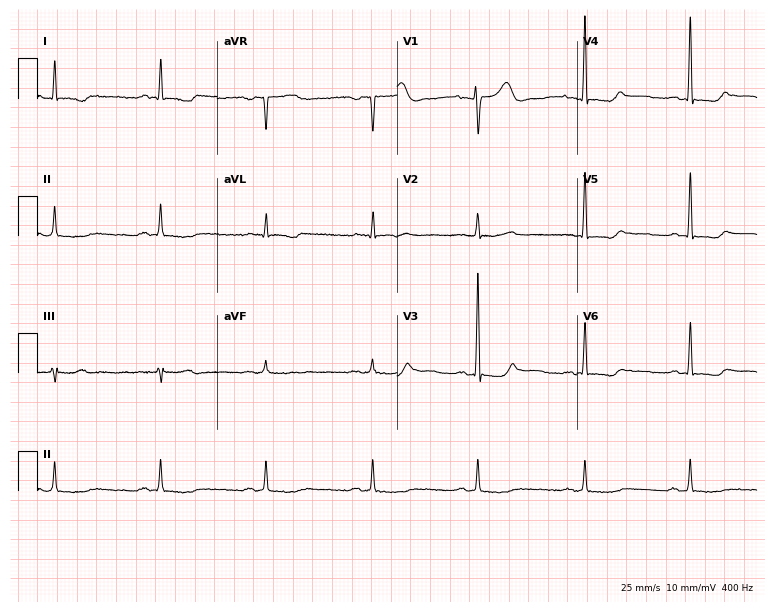
Resting 12-lead electrocardiogram. Patient: a 66-year-old man. None of these six findings is recorded: first-degree AV block, right bundle branch block (RBBB), left bundle branch block (LBBB), sinus bradycardia, atrial fibrillation (AF), sinus tachycardia. Only these six findings were labelled.